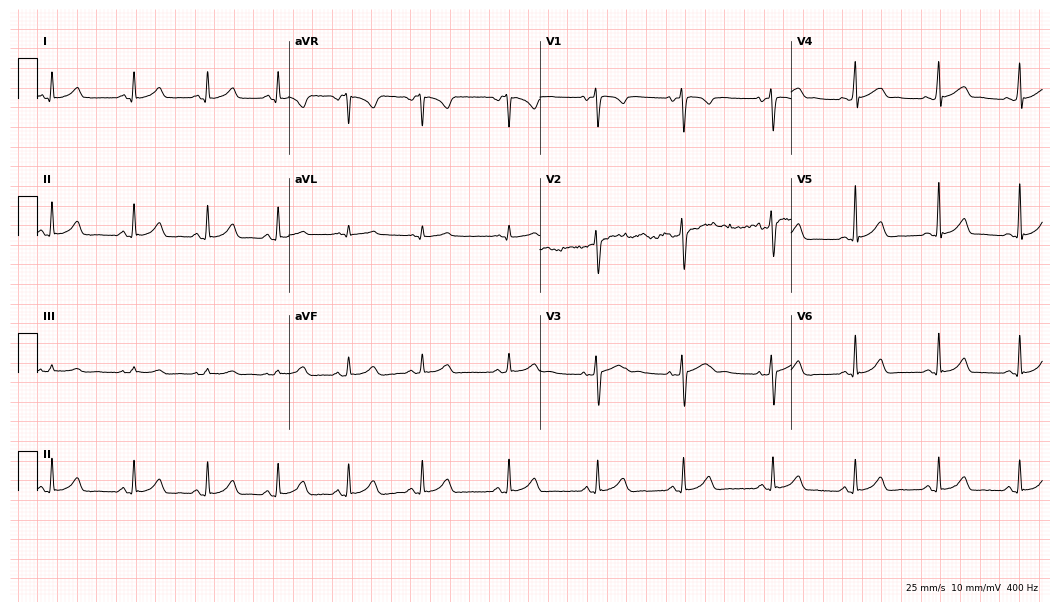
12-lead ECG (10.2-second recording at 400 Hz) from a female, 23 years old. Labelled as a normal ECG.